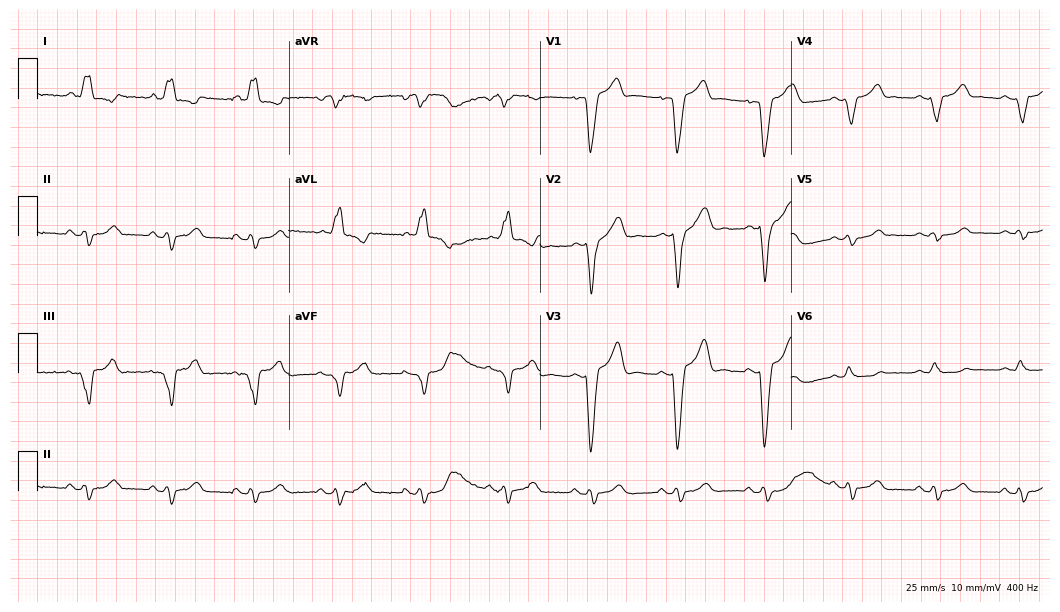
ECG — a 42-year-old female patient. Findings include left bundle branch block (LBBB).